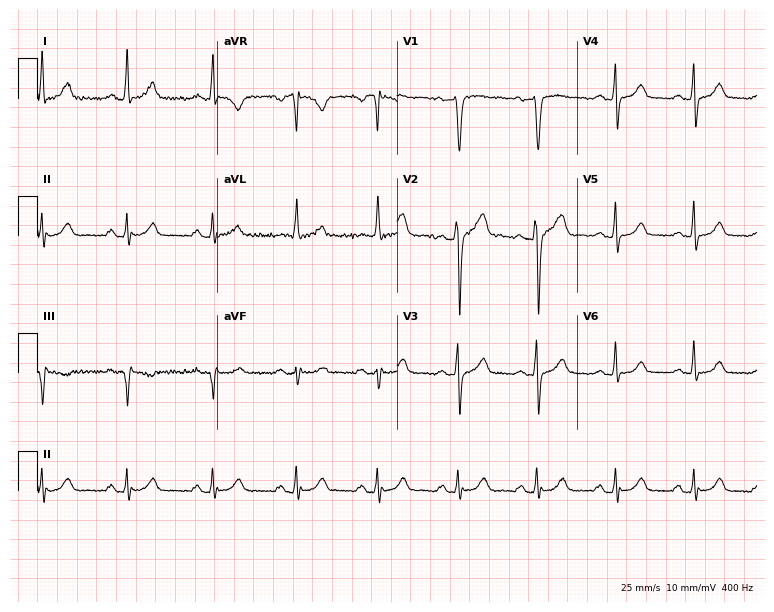
Standard 12-lead ECG recorded from a 41-year-old male (7.3-second recording at 400 Hz). Read as a normal ECG.